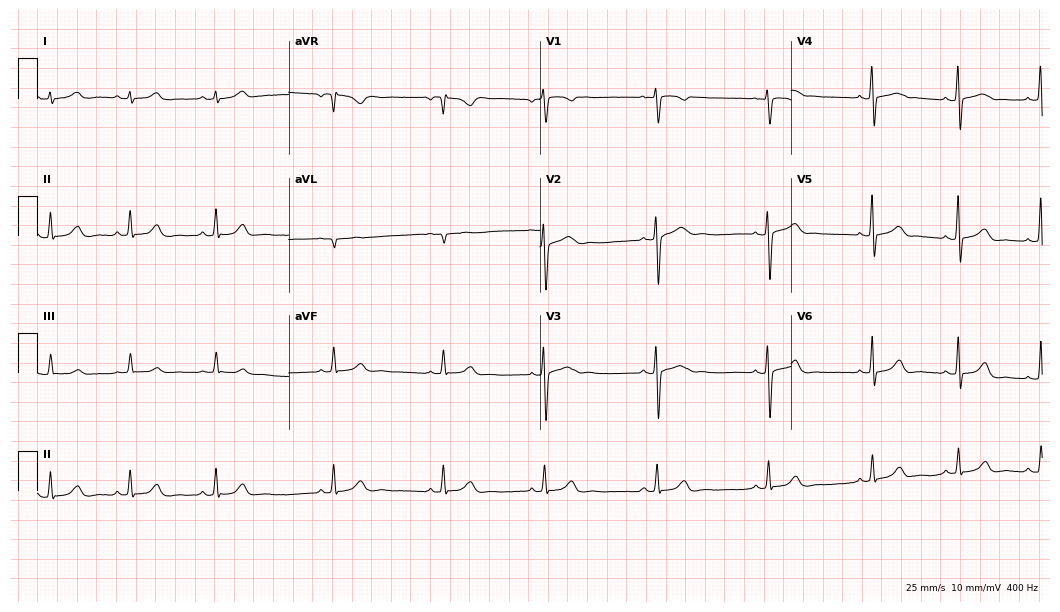
12-lead ECG (10.2-second recording at 400 Hz) from a woman, 20 years old. Labelled as a normal ECG.